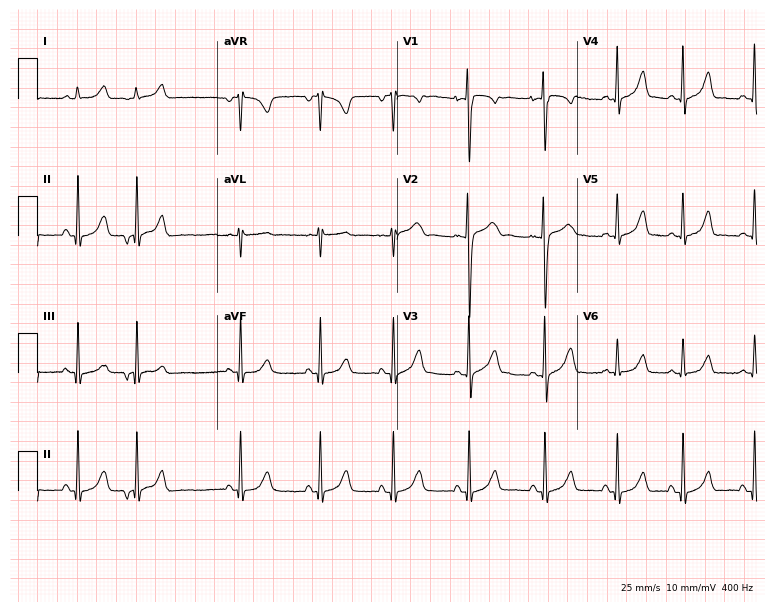
12-lead ECG from a 17-year-old woman (7.3-second recording at 400 Hz). No first-degree AV block, right bundle branch block, left bundle branch block, sinus bradycardia, atrial fibrillation or sinus tachycardia recorded for this tracing.